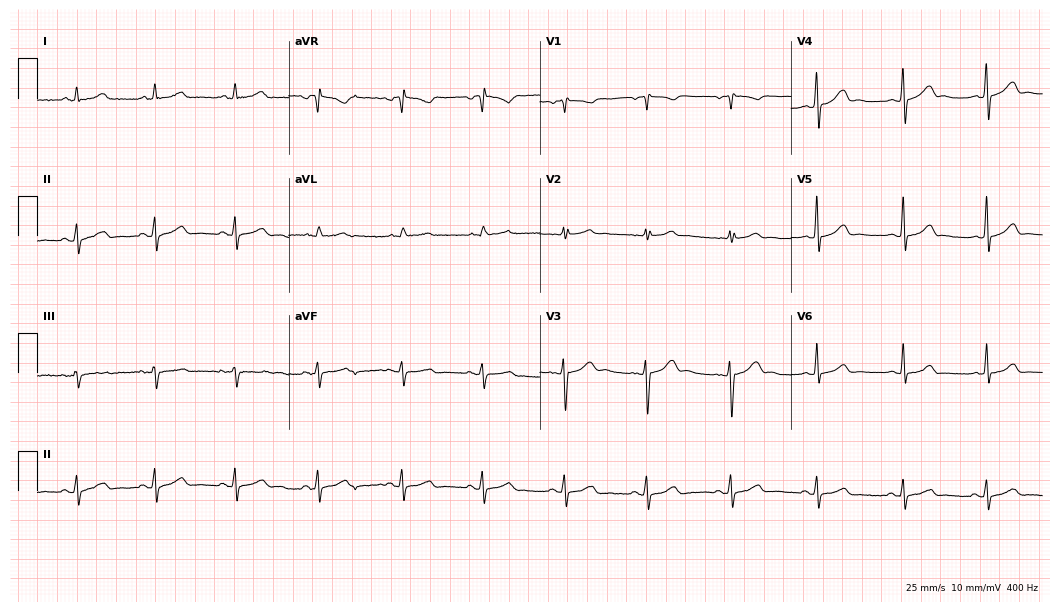
ECG (10.2-second recording at 400 Hz) — a woman, 37 years old. Labelled as a normal ECG.